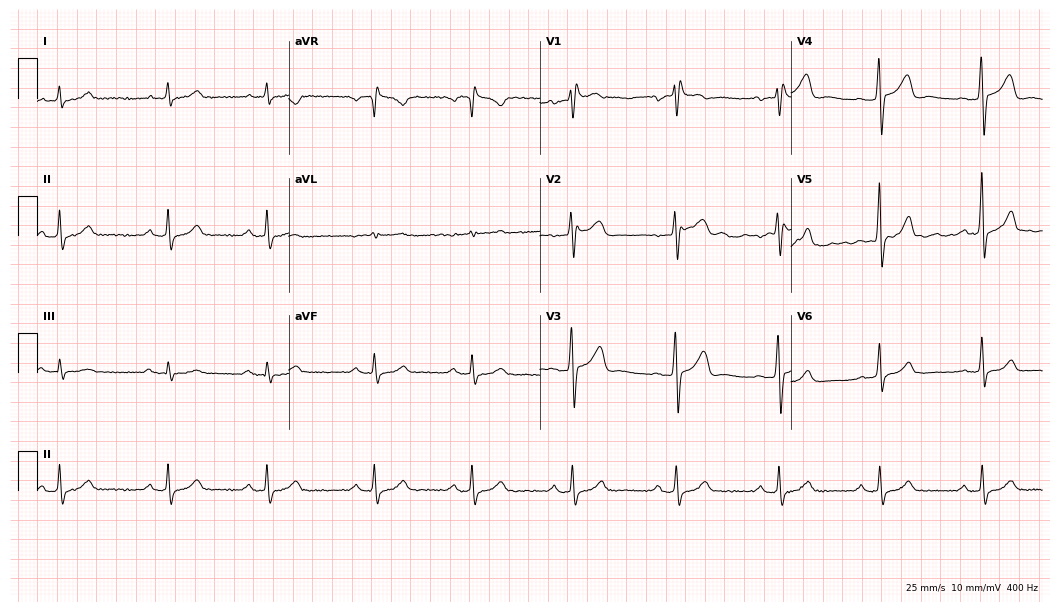
12-lead ECG from a male, 58 years old. Findings include first-degree AV block.